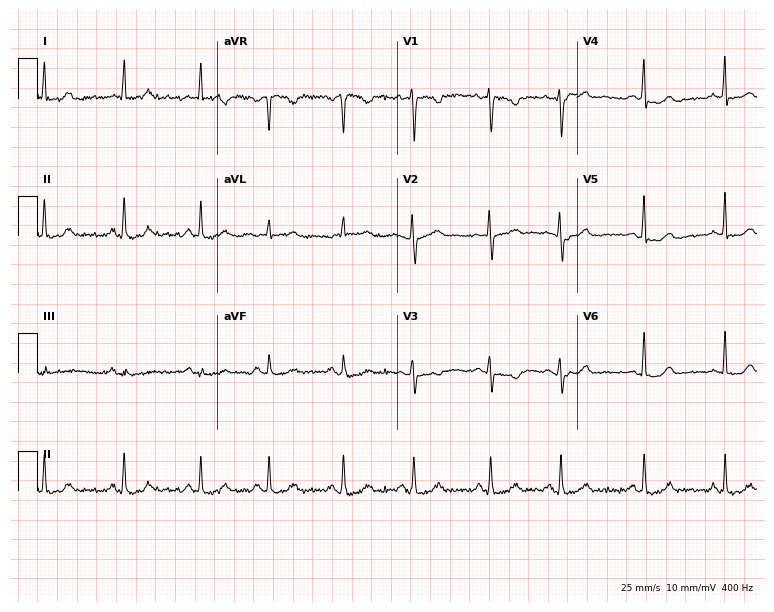
12-lead ECG from a female patient, 28 years old. No first-degree AV block, right bundle branch block, left bundle branch block, sinus bradycardia, atrial fibrillation or sinus tachycardia recorded for this tracing. Other findings, if any, are not listed.